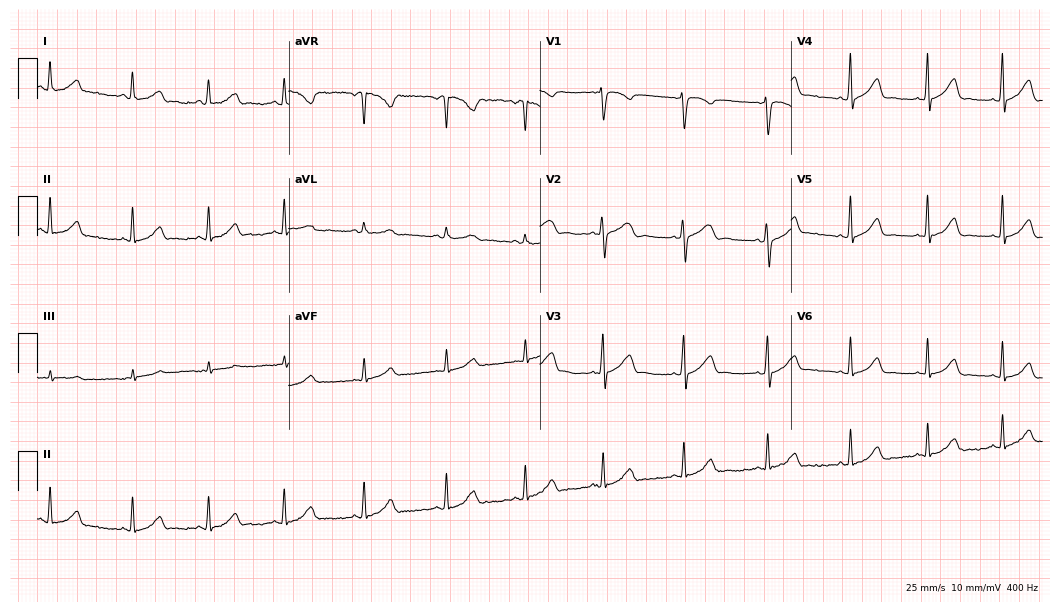
Electrocardiogram (10.2-second recording at 400 Hz), a 23-year-old female. Overall reading on record: normal ECG.